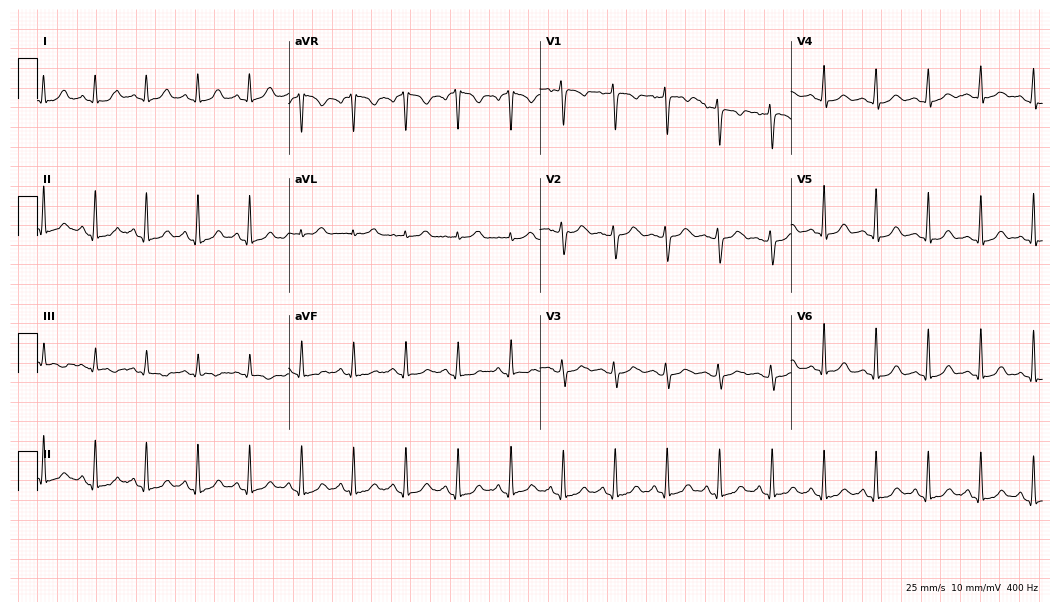
Resting 12-lead electrocardiogram (10.2-second recording at 400 Hz). Patient: a 19-year-old female. The tracing shows sinus tachycardia (a sinus rate of 100 beats per minute or more).